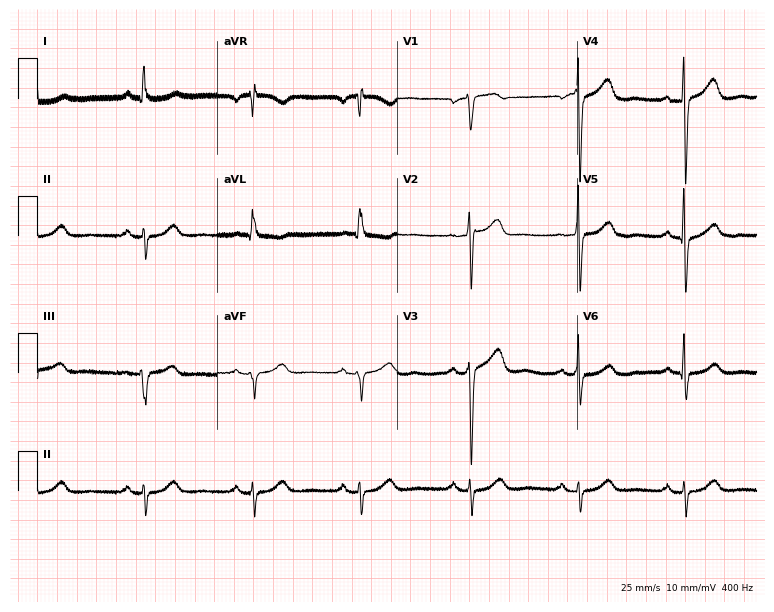
Standard 12-lead ECG recorded from a man, 66 years old. None of these six findings is recorded: first-degree AV block, right bundle branch block, left bundle branch block, sinus bradycardia, atrial fibrillation, sinus tachycardia.